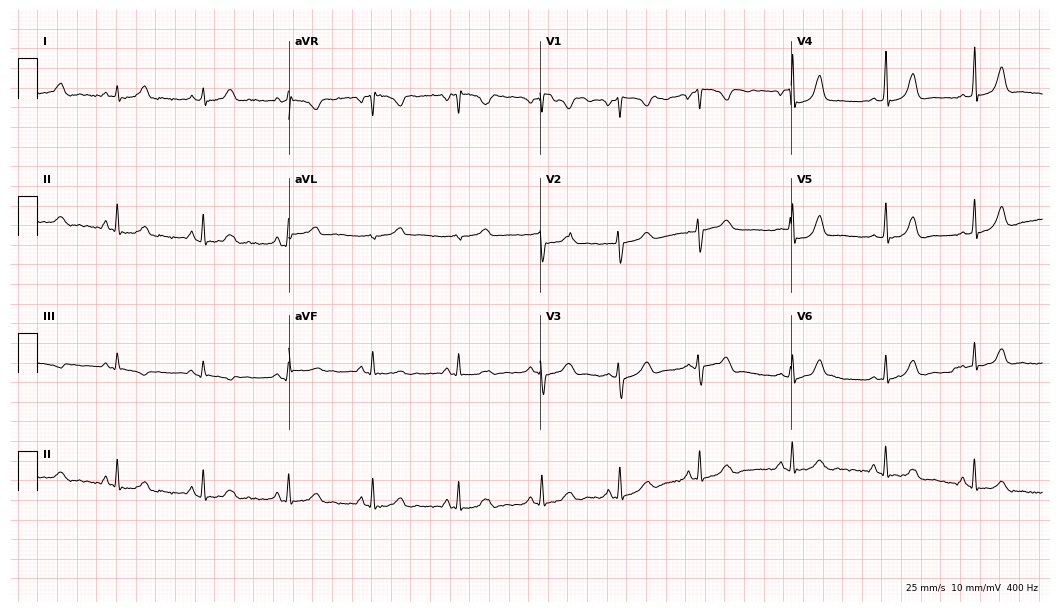
Electrocardiogram (10.2-second recording at 400 Hz), a 25-year-old female. Overall reading on record: normal ECG.